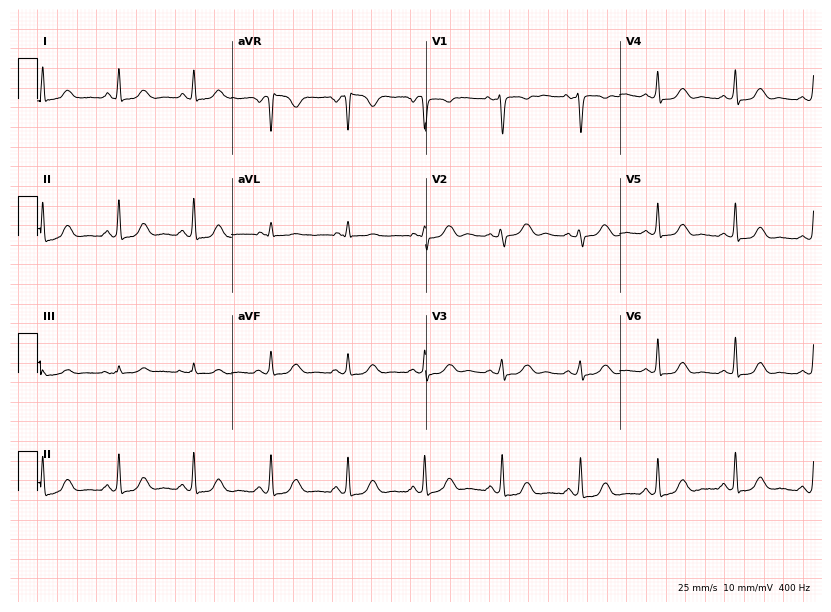
Resting 12-lead electrocardiogram. Patient: a 40-year-old female. None of these six findings is recorded: first-degree AV block, right bundle branch block, left bundle branch block, sinus bradycardia, atrial fibrillation, sinus tachycardia. Findings outside these six are not listed.